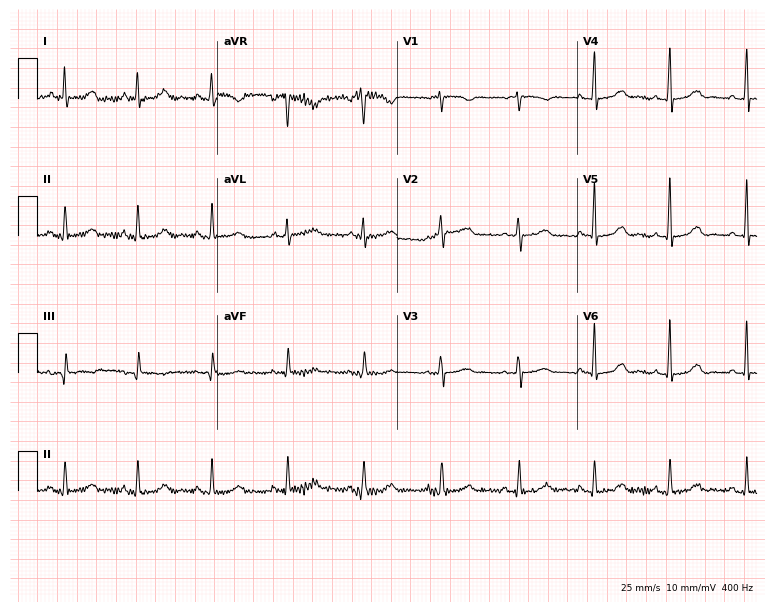
Electrocardiogram, a 60-year-old woman. Of the six screened findings (first-degree AV block, right bundle branch block, left bundle branch block, sinus bradycardia, atrial fibrillation, sinus tachycardia), none is recorded. Findings outside these six are not listed.